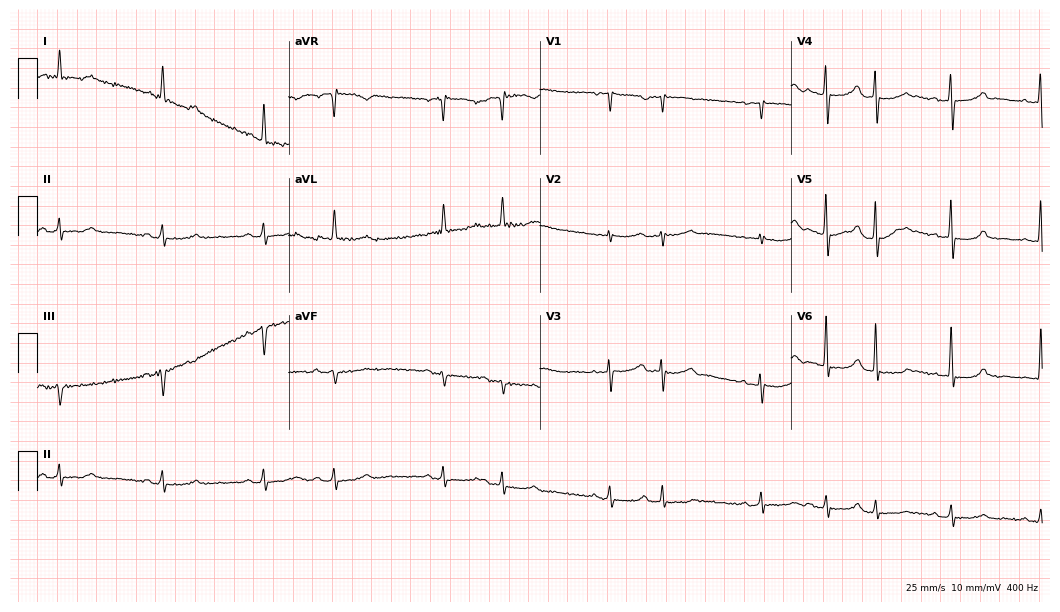
Resting 12-lead electrocardiogram. Patient: a woman, 69 years old. None of these six findings is recorded: first-degree AV block, right bundle branch block, left bundle branch block, sinus bradycardia, atrial fibrillation, sinus tachycardia. Only these six findings were labelled.